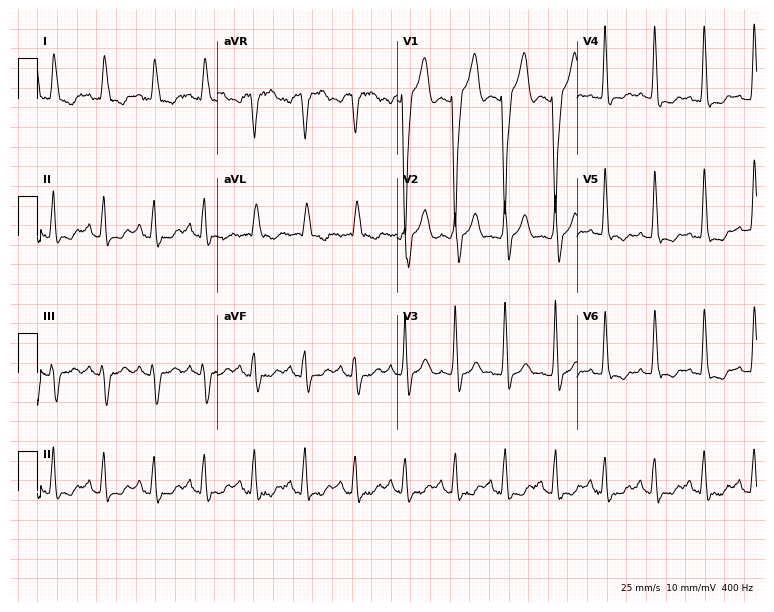
12-lead ECG (7.3-second recording at 400 Hz) from a 64-year-old female. Findings include sinus tachycardia (a sinus rate of 100 beats per minute or more).